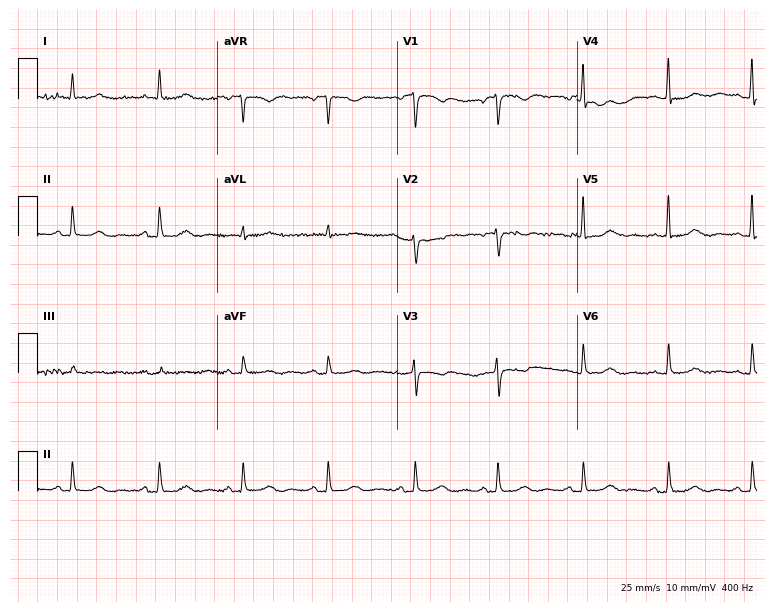
ECG — a female, 64 years old. Screened for six findings — first-degree AV block, right bundle branch block (RBBB), left bundle branch block (LBBB), sinus bradycardia, atrial fibrillation (AF), sinus tachycardia — none is recorded.